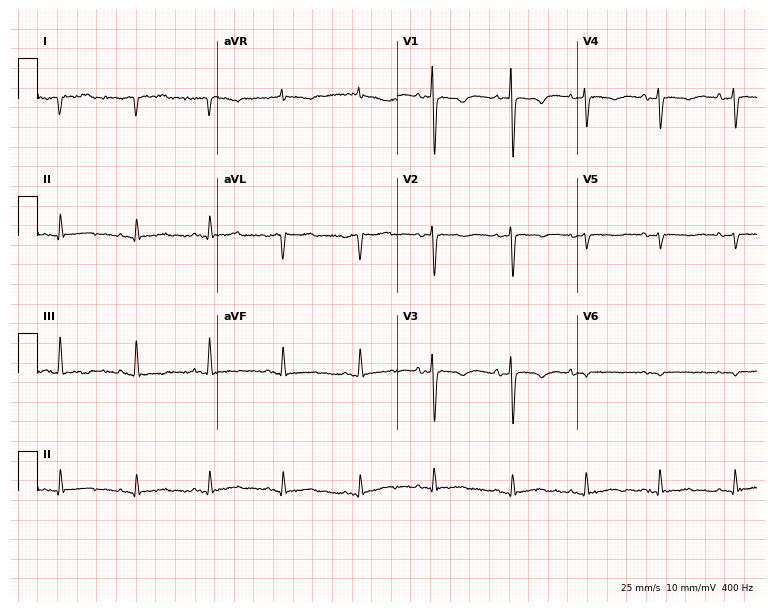
Electrocardiogram, an 84-year-old woman. Of the six screened findings (first-degree AV block, right bundle branch block (RBBB), left bundle branch block (LBBB), sinus bradycardia, atrial fibrillation (AF), sinus tachycardia), none is recorded. Other findings, if any, are not listed.